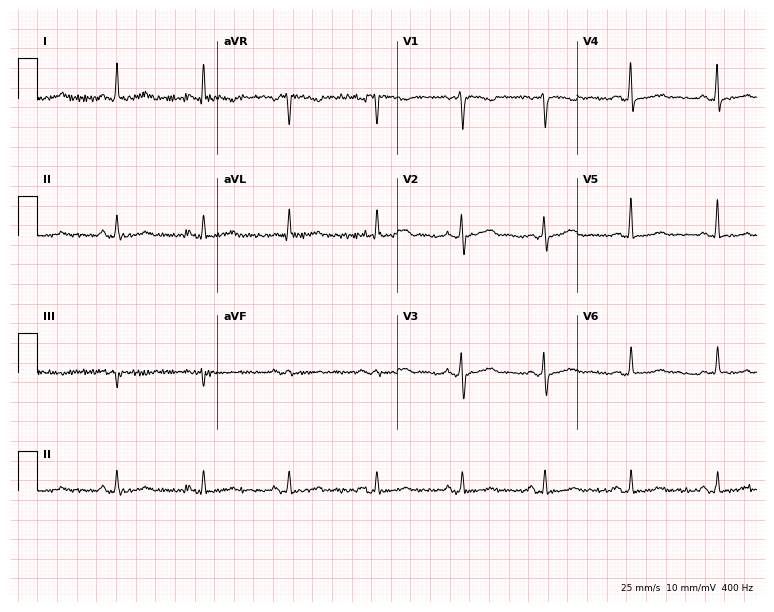
ECG — a female, 51 years old. Labelled as a normal ECG.